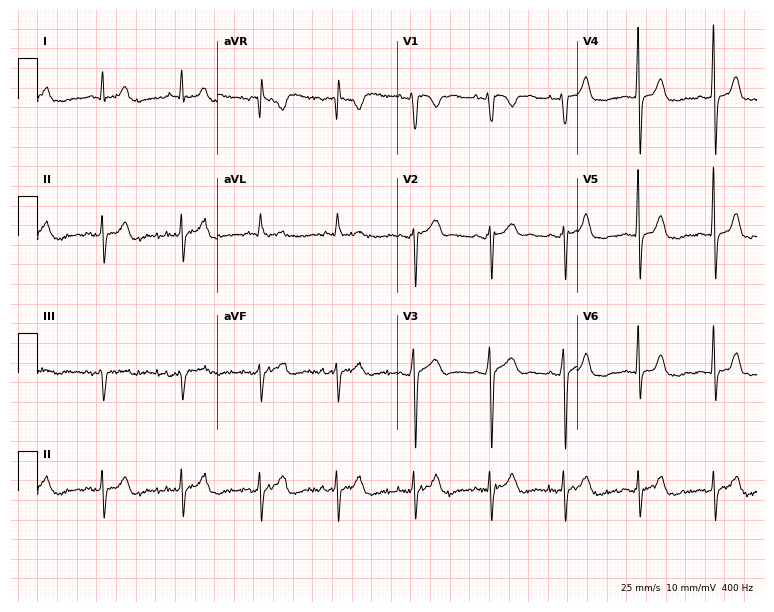
Electrocardiogram, a male patient, 38 years old. Of the six screened findings (first-degree AV block, right bundle branch block (RBBB), left bundle branch block (LBBB), sinus bradycardia, atrial fibrillation (AF), sinus tachycardia), none is recorded. Other findings, if any, are not listed.